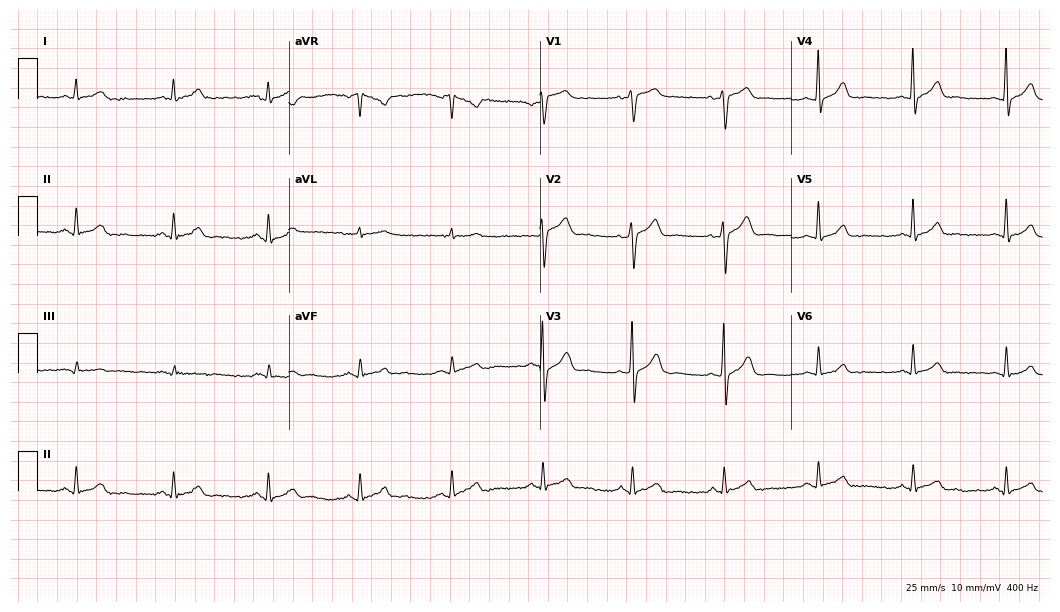
12-lead ECG from a 39-year-old male. Recorded interpretation: within normal limits.